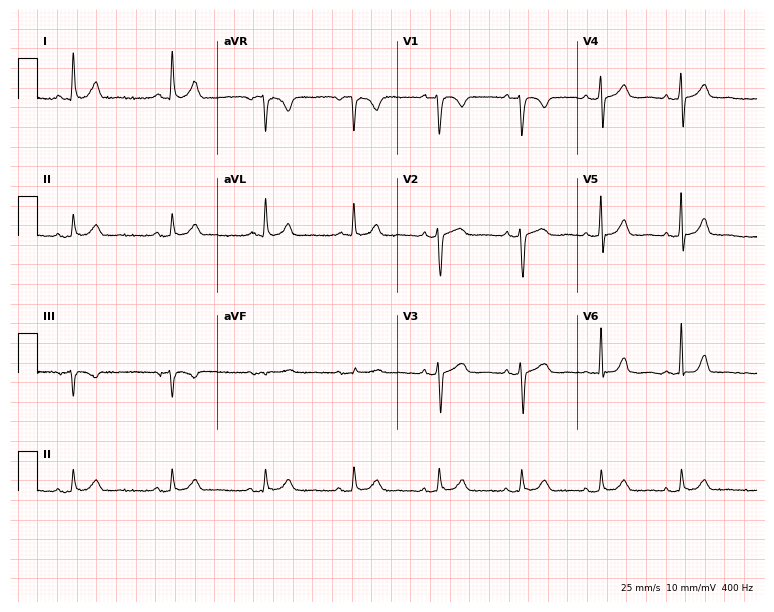
Electrocardiogram, a female patient, 65 years old. Overall reading on record: normal ECG.